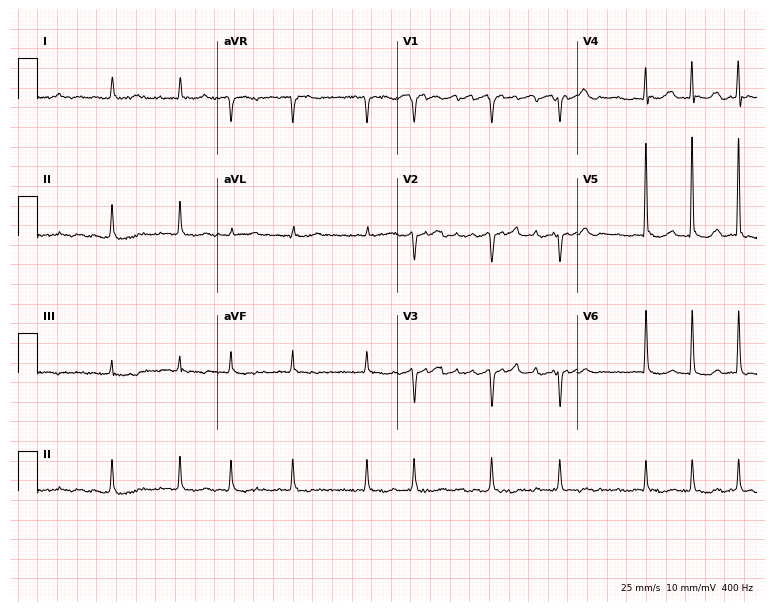
Standard 12-lead ECG recorded from a female patient, 84 years old (7.3-second recording at 400 Hz). The tracing shows atrial fibrillation.